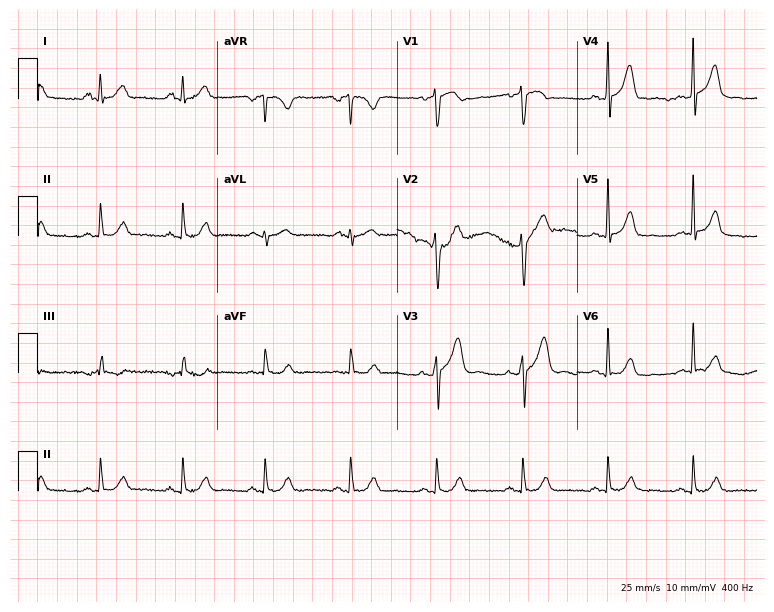
ECG (7.3-second recording at 400 Hz) — a 57-year-old male. Labelled as a normal ECG.